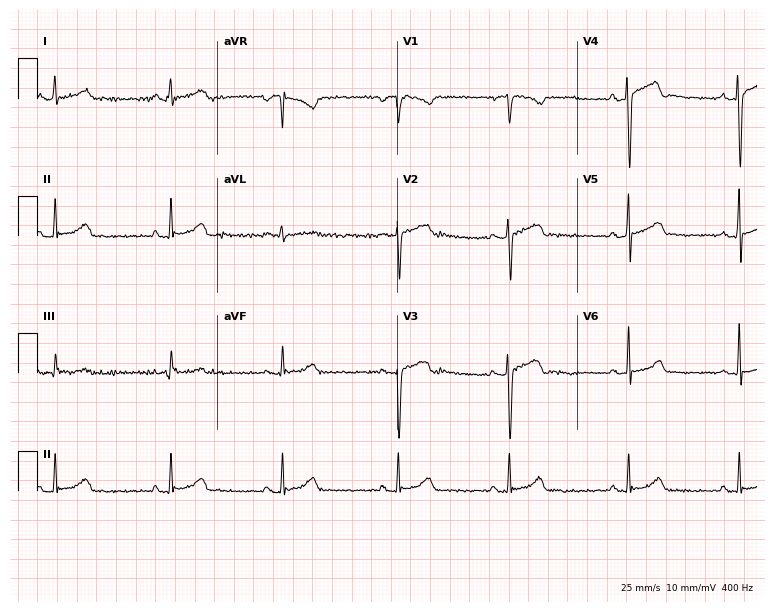
12-lead ECG from a 31-year-old male (7.3-second recording at 400 Hz). Recorded interpretation: within normal limits.